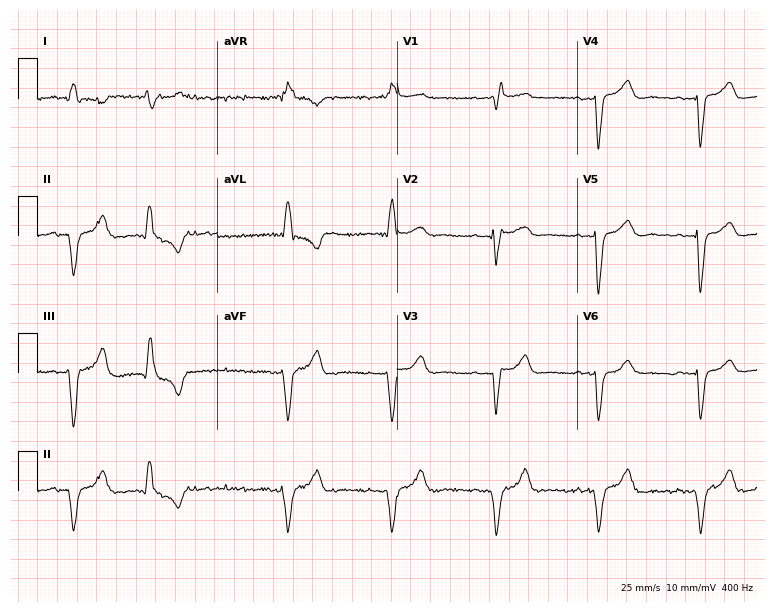
12-lead ECG from a male patient, 65 years old. Shows right bundle branch block, atrial fibrillation.